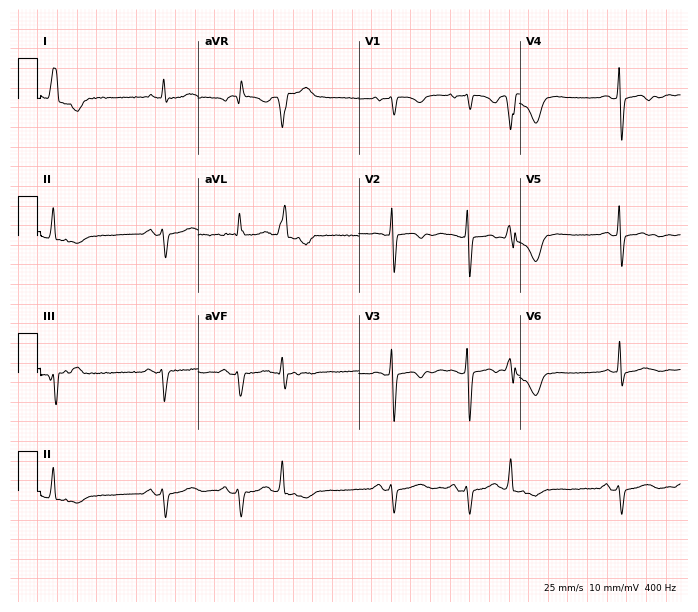
Resting 12-lead electrocardiogram. Patient: a woman, 75 years old. None of these six findings is recorded: first-degree AV block, right bundle branch block, left bundle branch block, sinus bradycardia, atrial fibrillation, sinus tachycardia. Other findings, if any, are not listed.